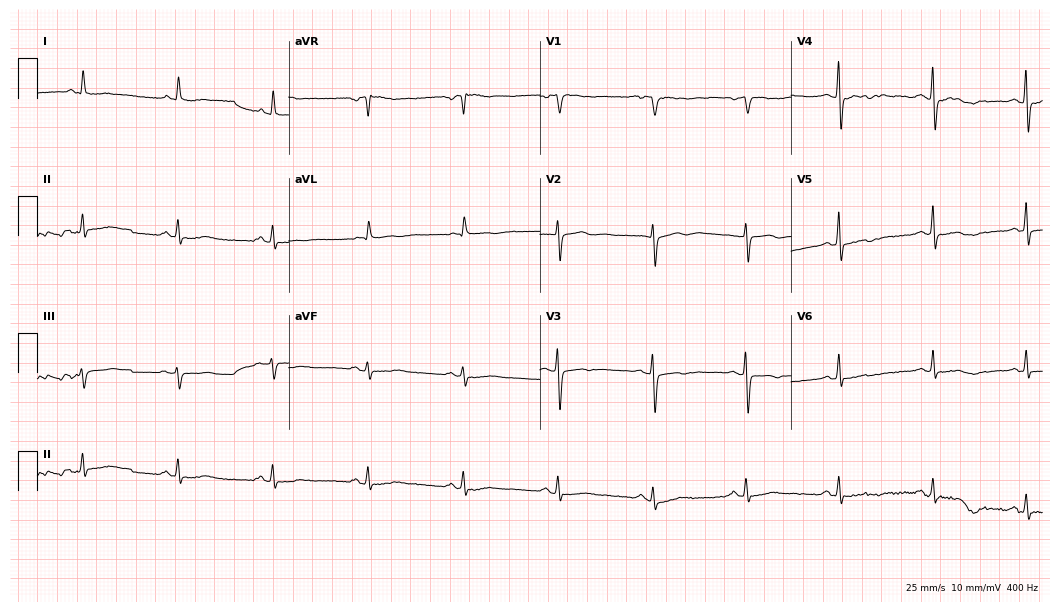
Electrocardiogram (10.2-second recording at 400 Hz), a woman, 84 years old. Of the six screened findings (first-degree AV block, right bundle branch block, left bundle branch block, sinus bradycardia, atrial fibrillation, sinus tachycardia), none is recorded. Findings outside these six are not listed.